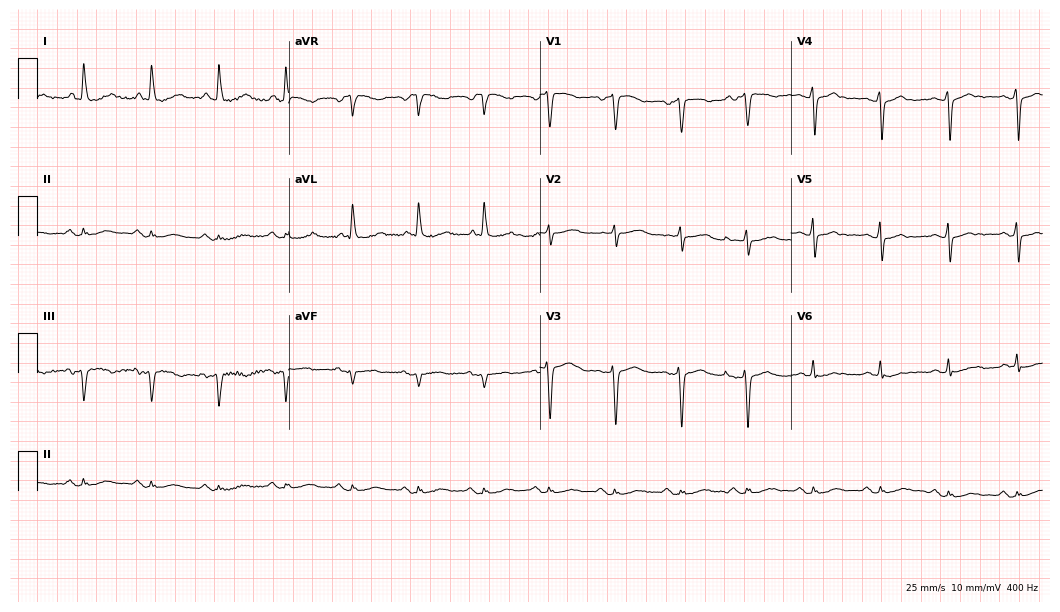
Standard 12-lead ECG recorded from a female patient, 69 years old. None of these six findings is recorded: first-degree AV block, right bundle branch block, left bundle branch block, sinus bradycardia, atrial fibrillation, sinus tachycardia. Other findings, if any, are not listed.